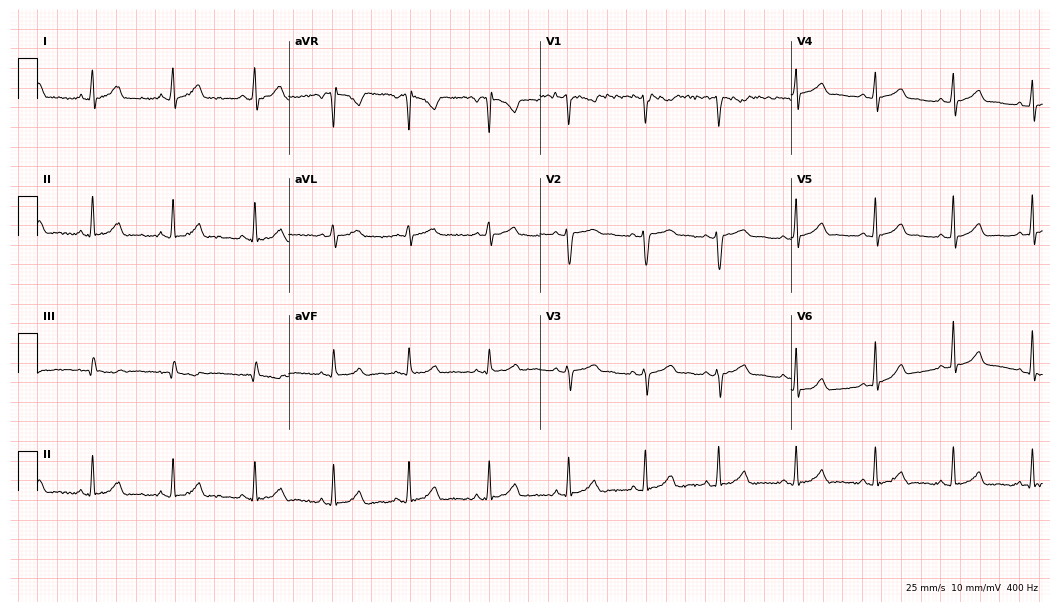
12-lead ECG from a female patient, 23 years old. Labelled as a normal ECG.